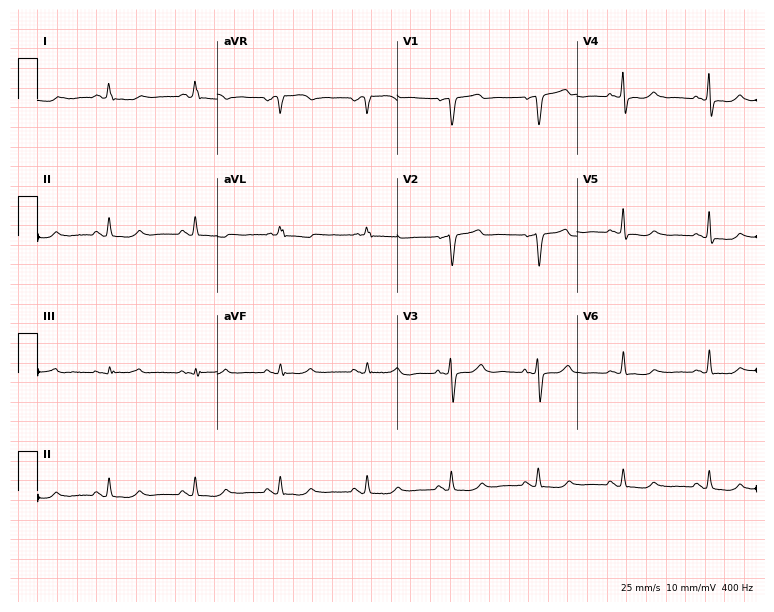
ECG (7.3-second recording at 400 Hz) — a female, 76 years old. Screened for six findings — first-degree AV block, right bundle branch block, left bundle branch block, sinus bradycardia, atrial fibrillation, sinus tachycardia — none is recorded. Other findings, if any, are not listed.